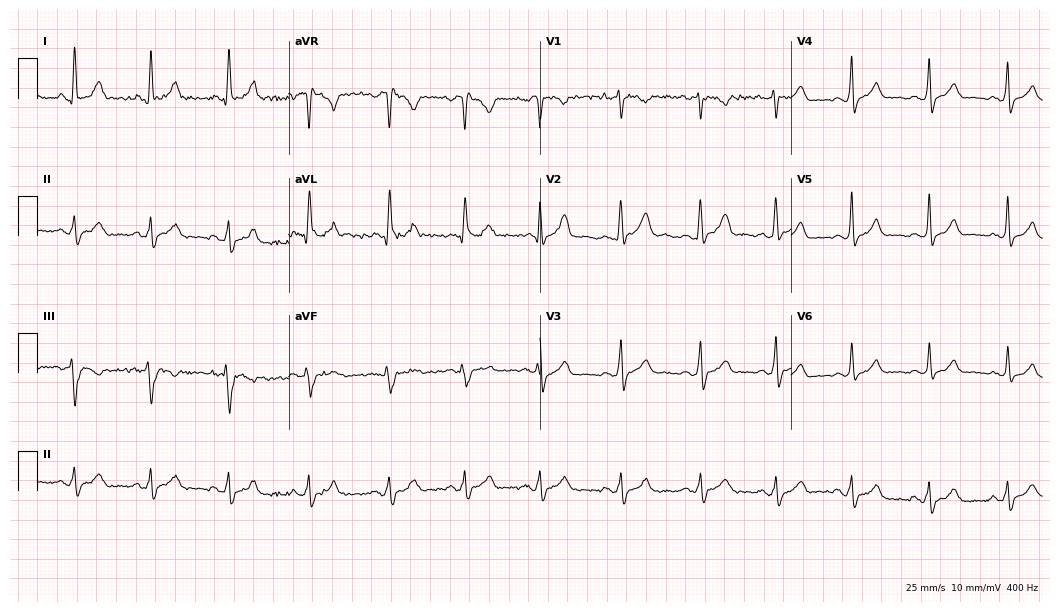
12-lead ECG from a 34-year-old female patient (10.2-second recording at 400 Hz). No first-degree AV block, right bundle branch block (RBBB), left bundle branch block (LBBB), sinus bradycardia, atrial fibrillation (AF) or sinus tachycardia recorded for this tracing. Findings outside these six are not listed.